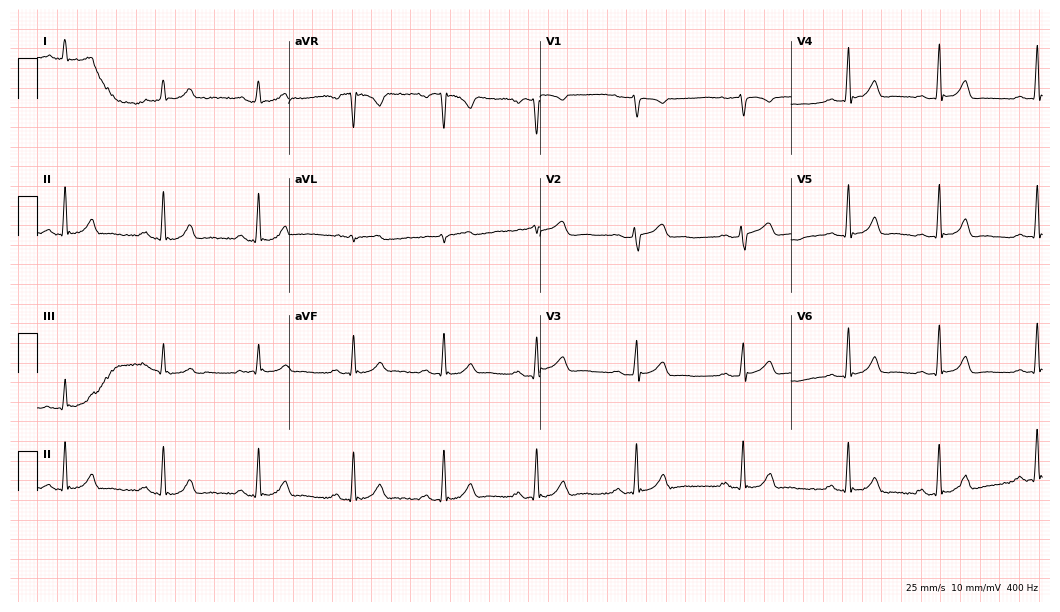
Standard 12-lead ECG recorded from a woman, 23 years old (10.2-second recording at 400 Hz). Read as a normal ECG.